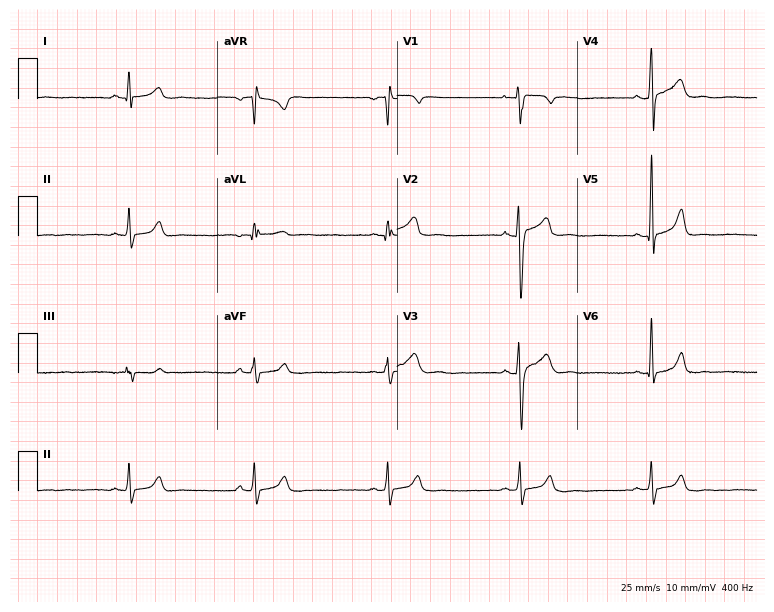
Electrocardiogram, a male patient, 21 years old. Of the six screened findings (first-degree AV block, right bundle branch block (RBBB), left bundle branch block (LBBB), sinus bradycardia, atrial fibrillation (AF), sinus tachycardia), none is recorded. Only these six findings were labelled.